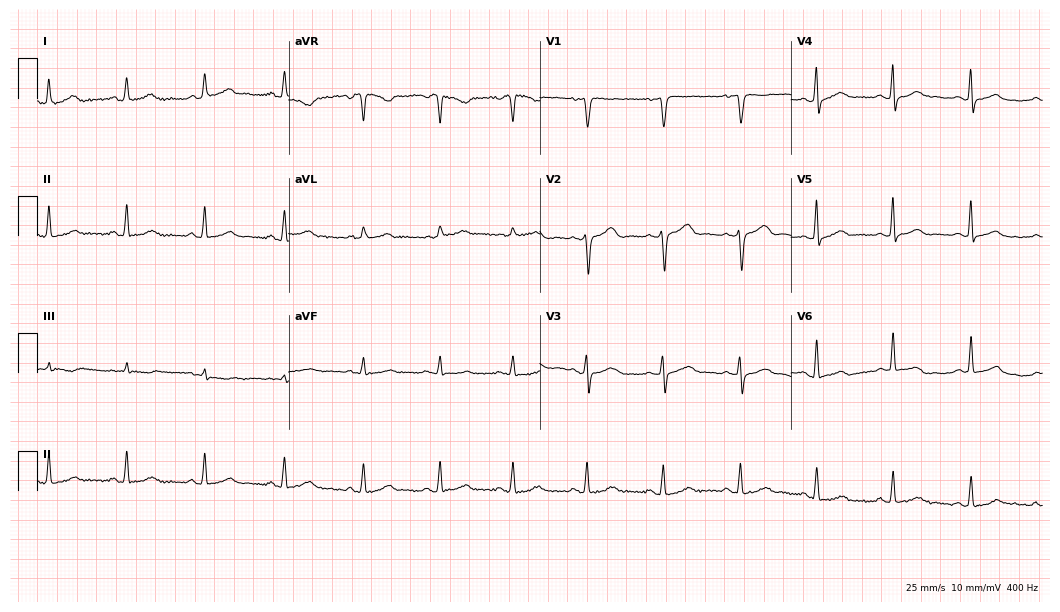
Standard 12-lead ECG recorded from a 49-year-old woman (10.2-second recording at 400 Hz). Read as a normal ECG.